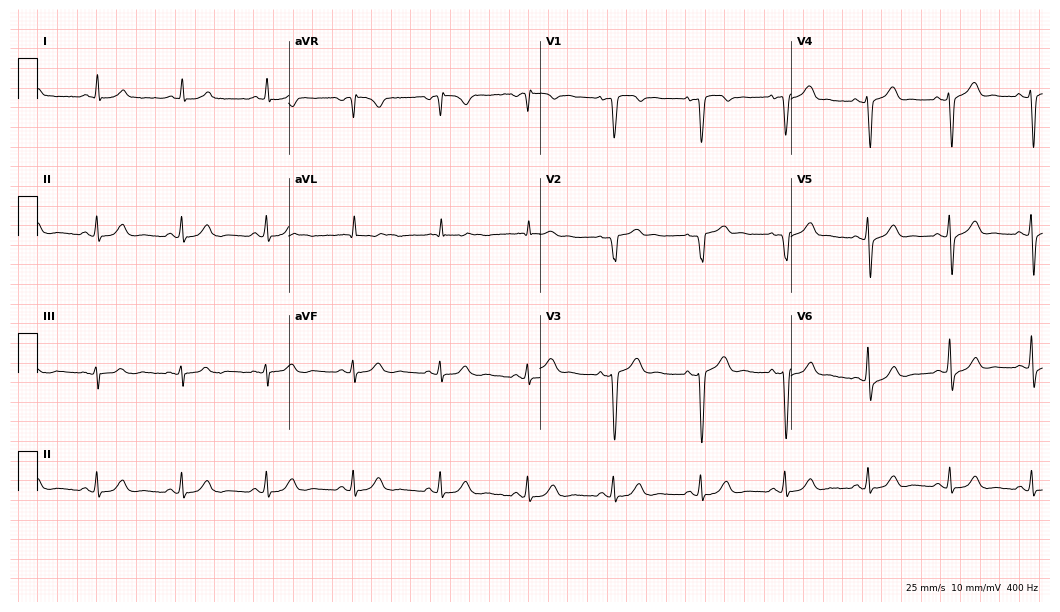
Resting 12-lead electrocardiogram. Patient: a 50-year-old male. None of these six findings is recorded: first-degree AV block, right bundle branch block, left bundle branch block, sinus bradycardia, atrial fibrillation, sinus tachycardia.